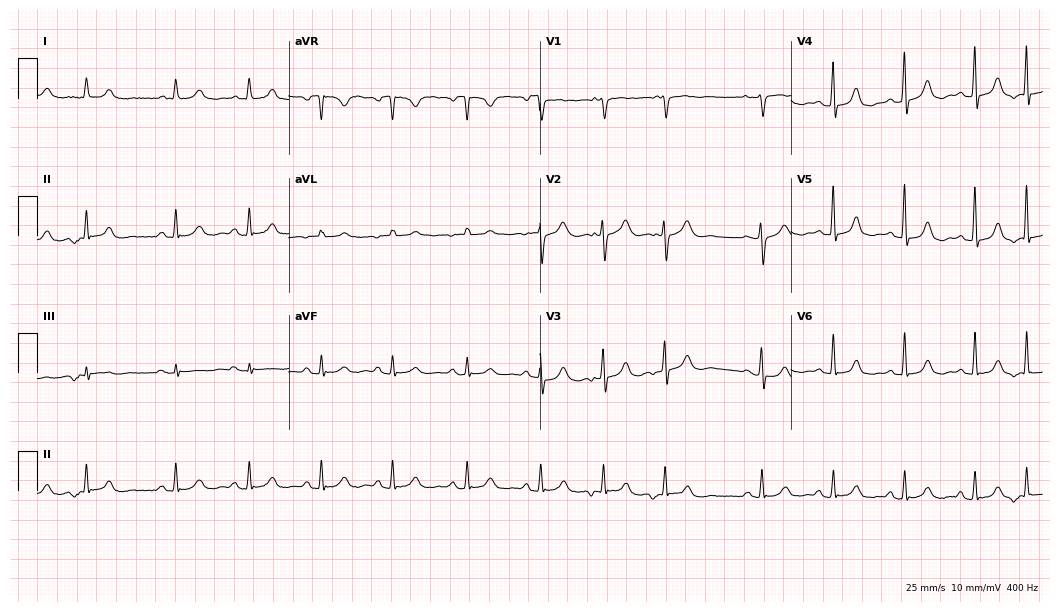
12-lead ECG (10.2-second recording at 400 Hz) from a female patient, 73 years old. Screened for six findings — first-degree AV block, right bundle branch block, left bundle branch block, sinus bradycardia, atrial fibrillation, sinus tachycardia — none is recorded. Only these six findings were labelled.